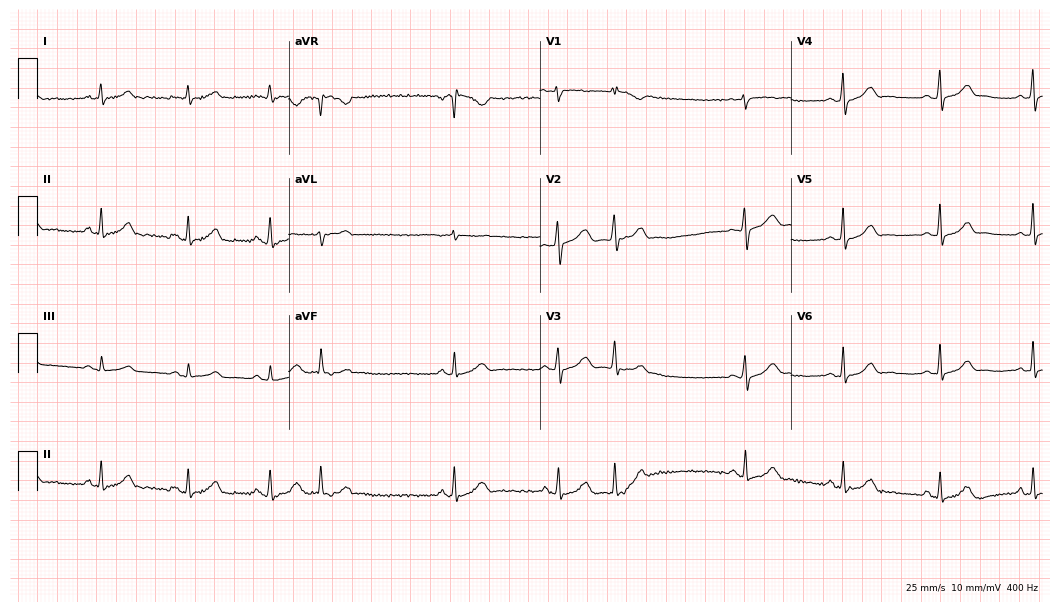
Electrocardiogram, a female patient, 26 years old. Of the six screened findings (first-degree AV block, right bundle branch block, left bundle branch block, sinus bradycardia, atrial fibrillation, sinus tachycardia), none is recorded.